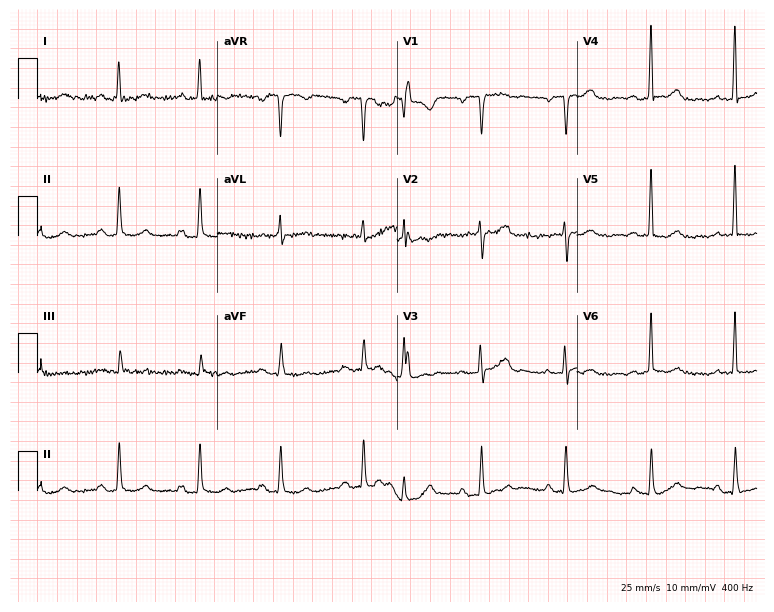
Electrocardiogram, an 82-year-old woman. Of the six screened findings (first-degree AV block, right bundle branch block, left bundle branch block, sinus bradycardia, atrial fibrillation, sinus tachycardia), none is recorded. Only these six findings were labelled.